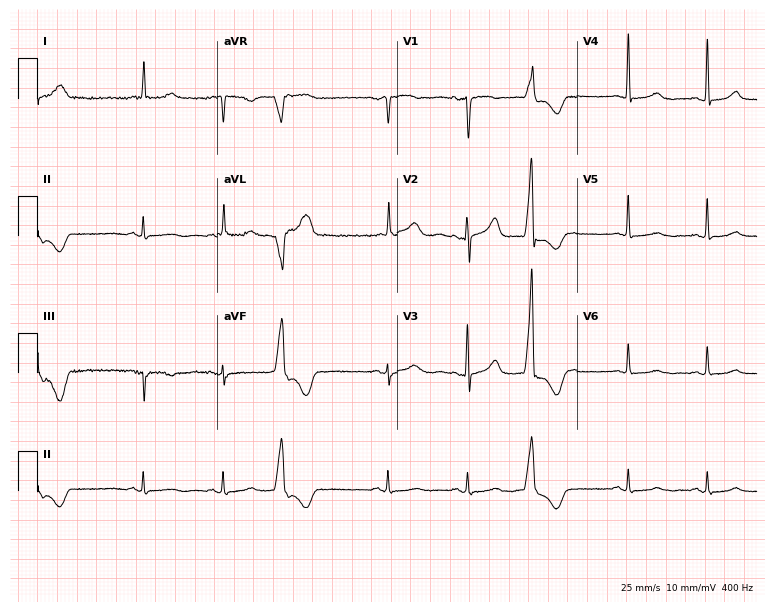
Resting 12-lead electrocardiogram. Patient: an 80-year-old female. None of these six findings is recorded: first-degree AV block, right bundle branch block, left bundle branch block, sinus bradycardia, atrial fibrillation, sinus tachycardia. Other findings, if any, are not listed.